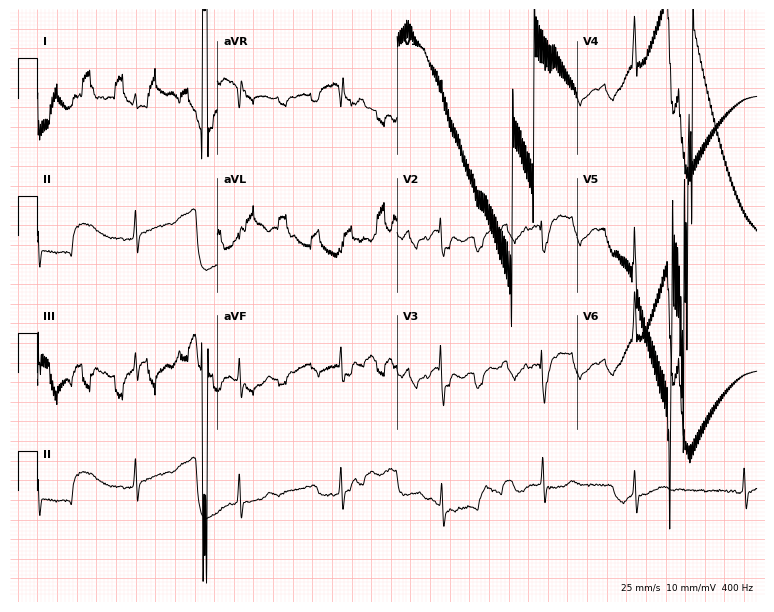
Resting 12-lead electrocardiogram. Patient: a male, 85 years old. None of these six findings is recorded: first-degree AV block, right bundle branch block, left bundle branch block, sinus bradycardia, atrial fibrillation, sinus tachycardia. Only these six findings were labelled.